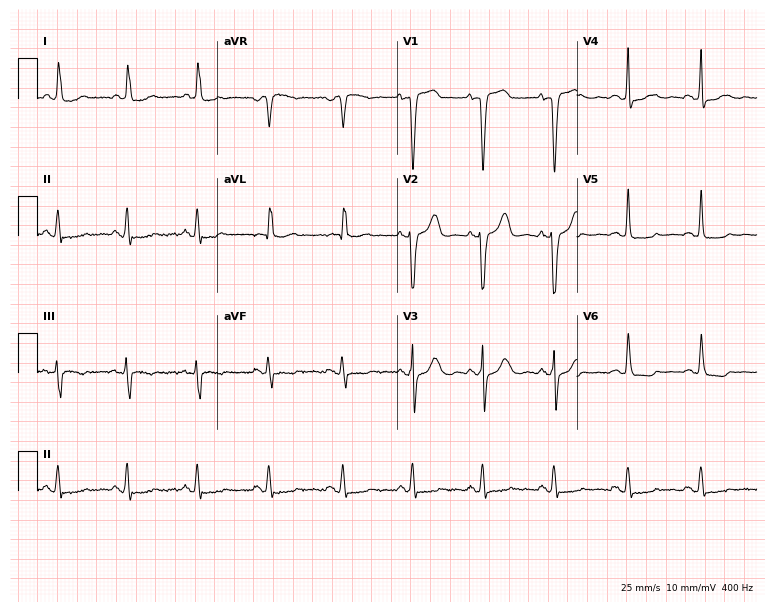
12-lead ECG from a 71-year-old female patient. No first-degree AV block, right bundle branch block, left bundle branch block, sinus bradycardia, atrial fibrillation or sinus tachycardia recorded for this tracing.